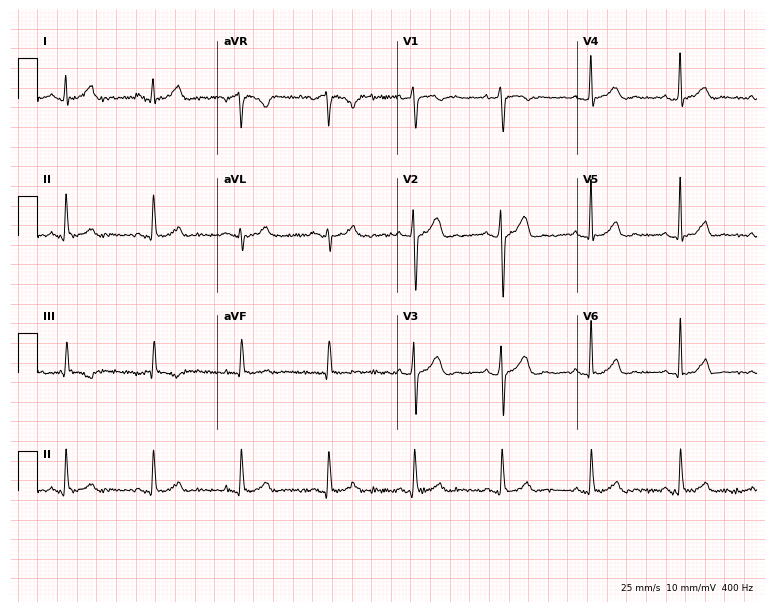
ECG — a 28-year-old male. Labelled as a normal ECG.